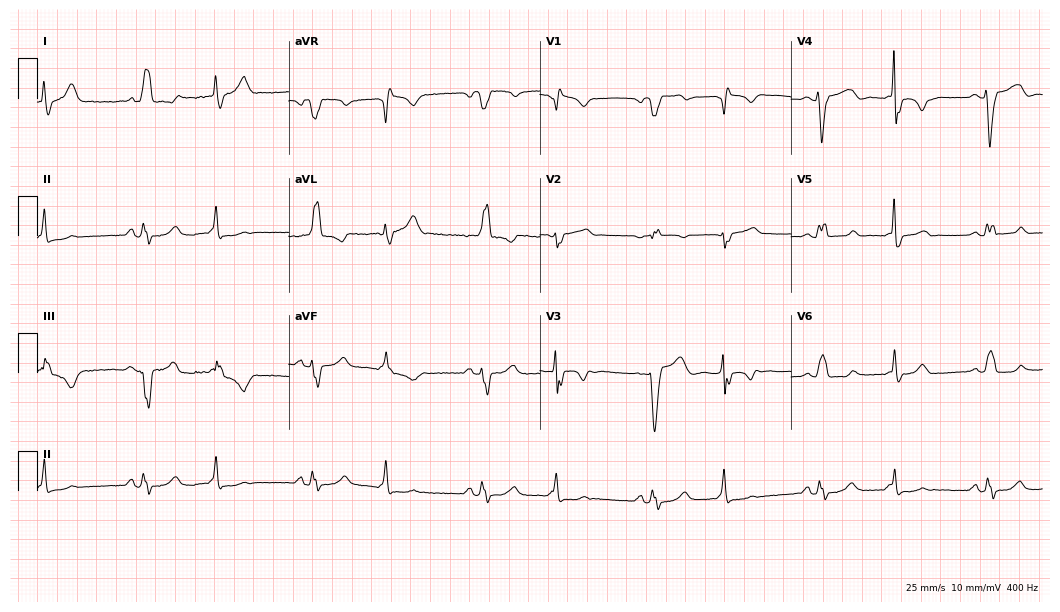
12-lead ECG from a 73-year-old woman (10.2-second recording at 400 Hz). No first-degree AV block, right bundle branch block, left bundle branch block, sinus bradycardia, atrial fibrillation or sinus tachycardia recorded for this tracing.